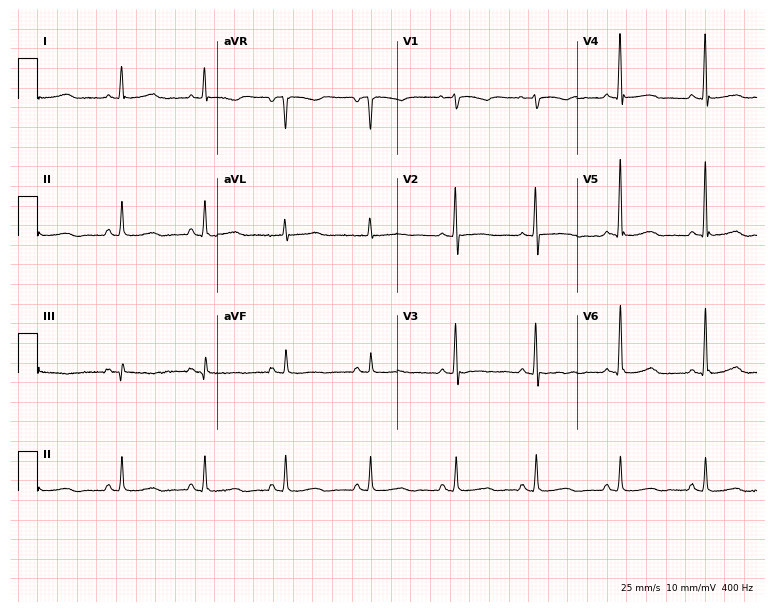
12-lead ECG from a female, 60 years old. Screened for six findings — first-degree AV block, right bundle branch block (RBBB), left bundle branch block (LBBB), sinus bradycardia, atrial fibrillation (AF), sinus tachycardia — none is recorded. Findings outside these six are not listed.